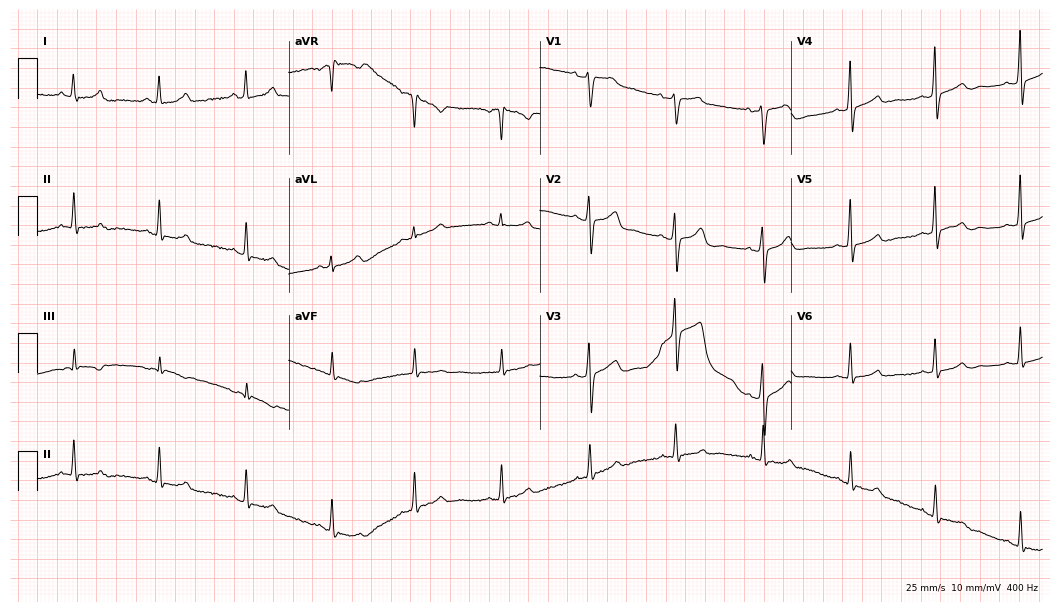
Standard 12-lead ECG recorded from a female patient, 38 years old. Read as a normal ECG.